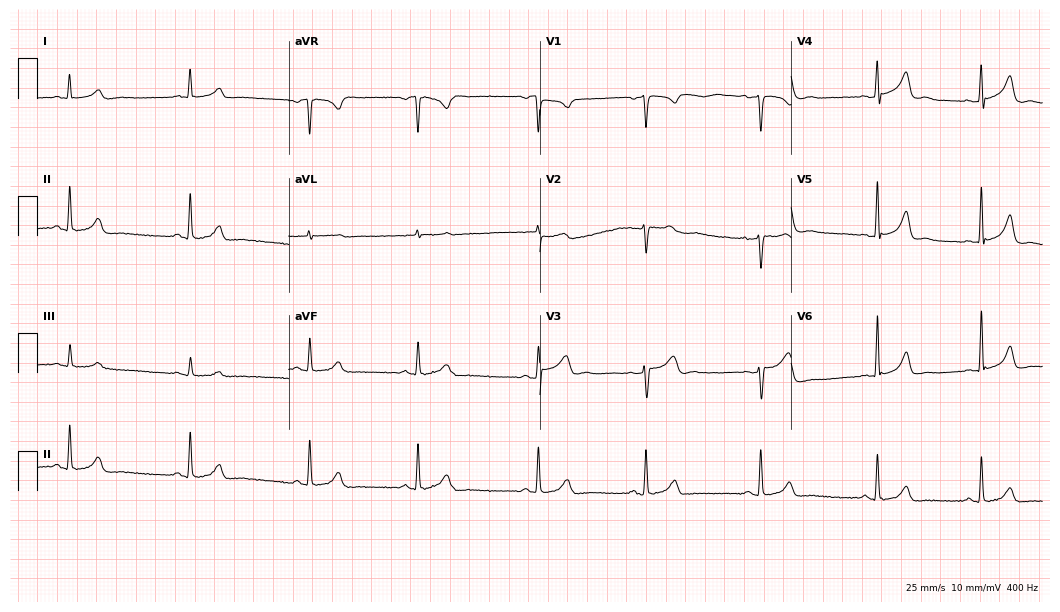
ECG — a 32-year-old woman. Labelled as a normal ECG.